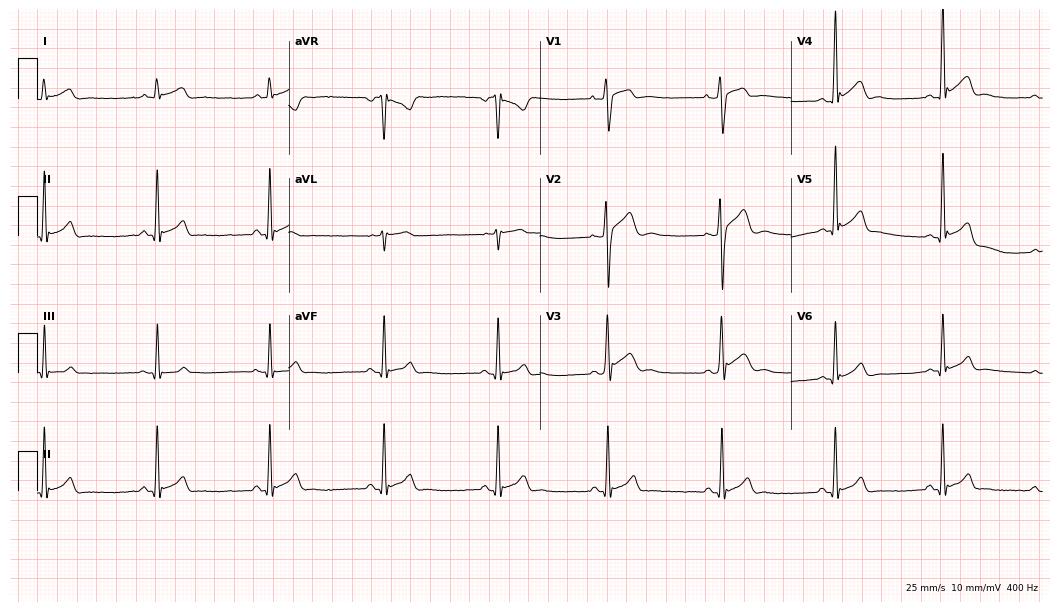
ECG (10.2-second recording at 400 Hz) — a male, 29 years old. Screened for six findings — first-degree AV block, right bundle branch block (RBBB), left bundle branch block (LBBB), sinus bradycardia, atrial fibrillation (AF), sinus tachycardia — none is recorded.